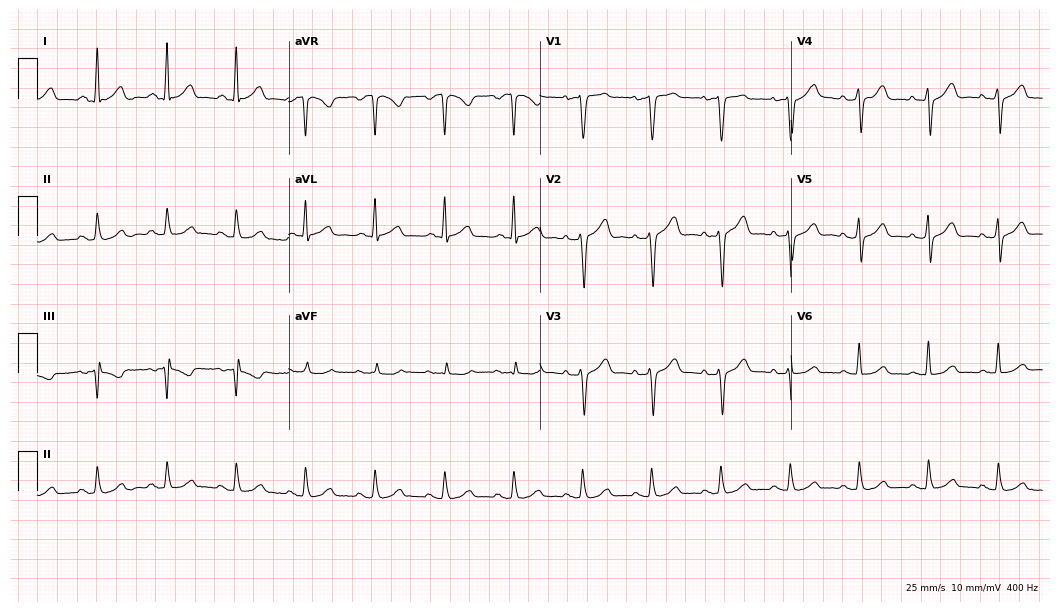
12-lead ECG from a 44-year-old female. Recorded interpretation: within normal limits.